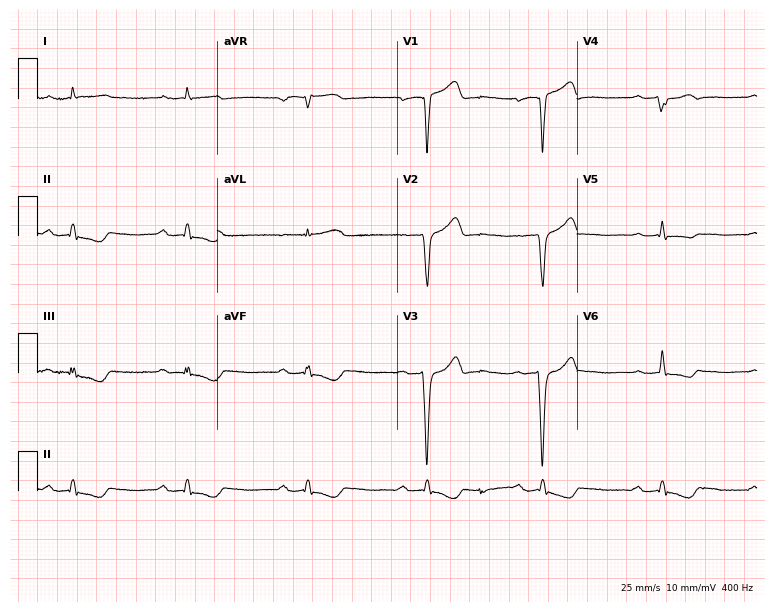
Standard 12-lead ECG recorded from an 82-year-old man. The tracing shows first-degree AV block, sinus bradycardia (a sinus rate of 50 beats per minute or less).